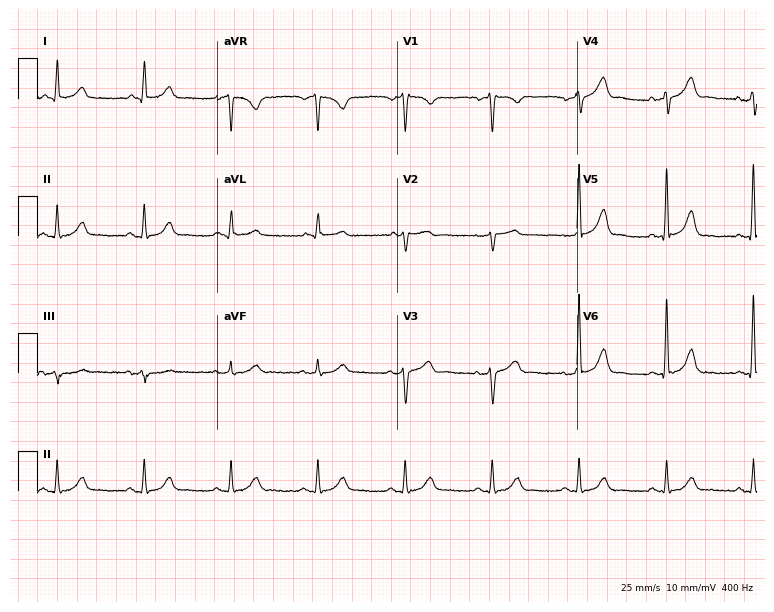
12-lead ECG from a man, 85 years old. Recorded interpretation: within normal limits.